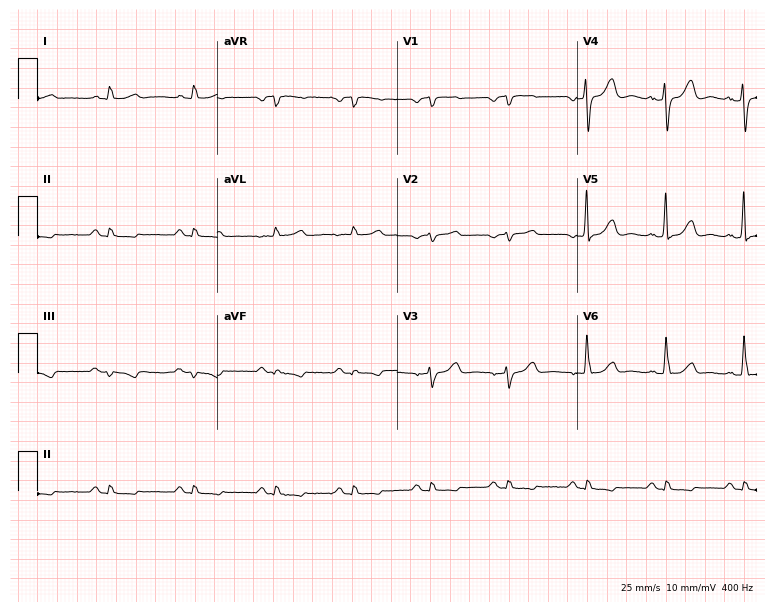
Electrocardiogram, a male, 67 years old. Of the six screened findings (first-degree AV block, right bundle branch block, left bundle branch block, sinus bradycardia, atrial fibrillation, sinus tachycardia), none is recorded. Only these six findings were labelled.